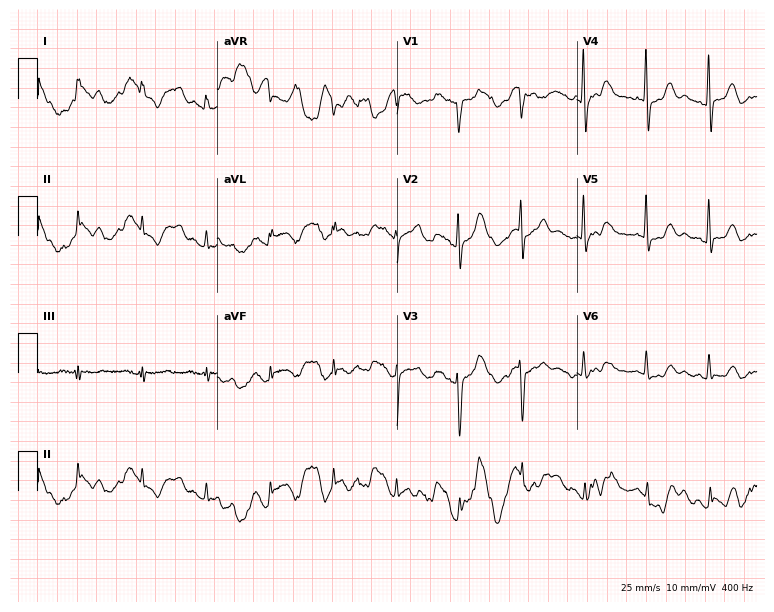
Standard 12-lead ECG recorded from a 64-year-old woman (7.3-second recording at 400 Hz). Read as a normal ECG.